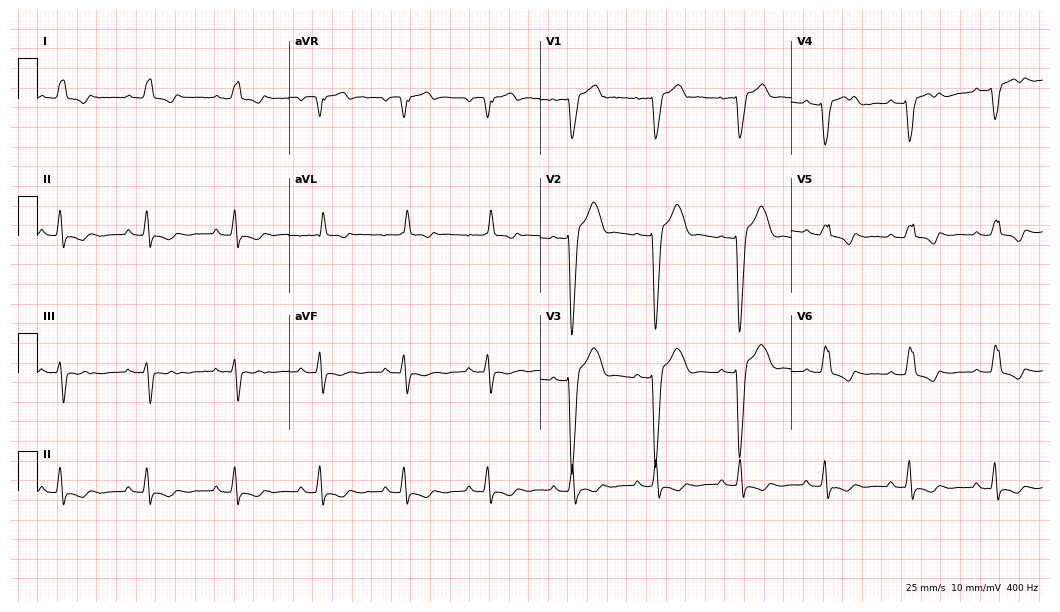
ECG — a man, 77 years old. Screened for six findings — first-degree AV block, right bundle branch block (RBBB), left bundle branch block (LBBB), sinus bradycardia, atrial fibrillation (AF), sinus tachycardia — none is recorded. Only these six findings were labelled.